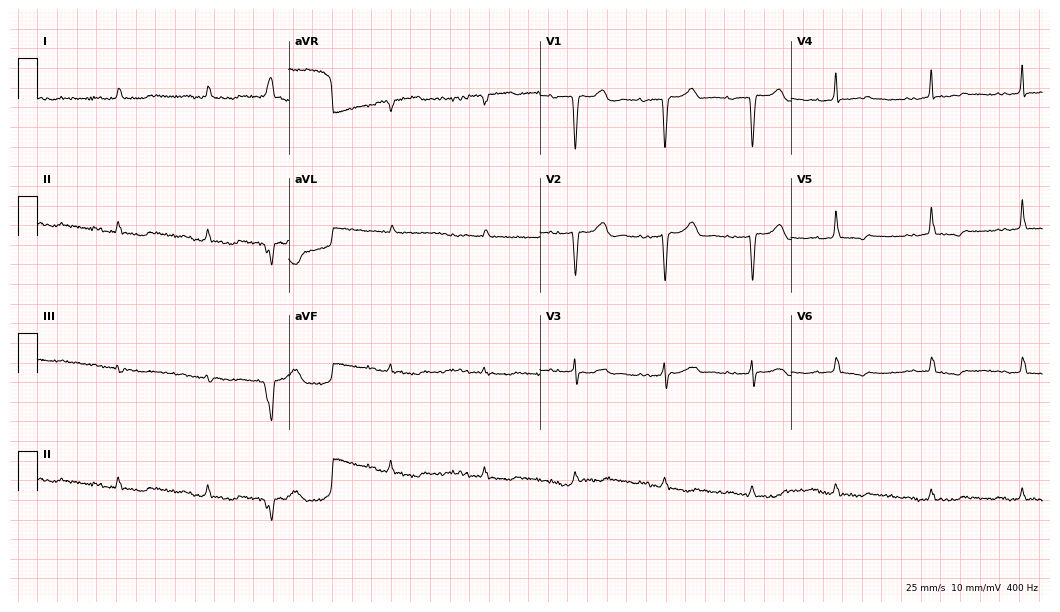
ECG (10.2-second recording at 400 Hz) — a female, 59 years old. Findings include first-degree AV block.